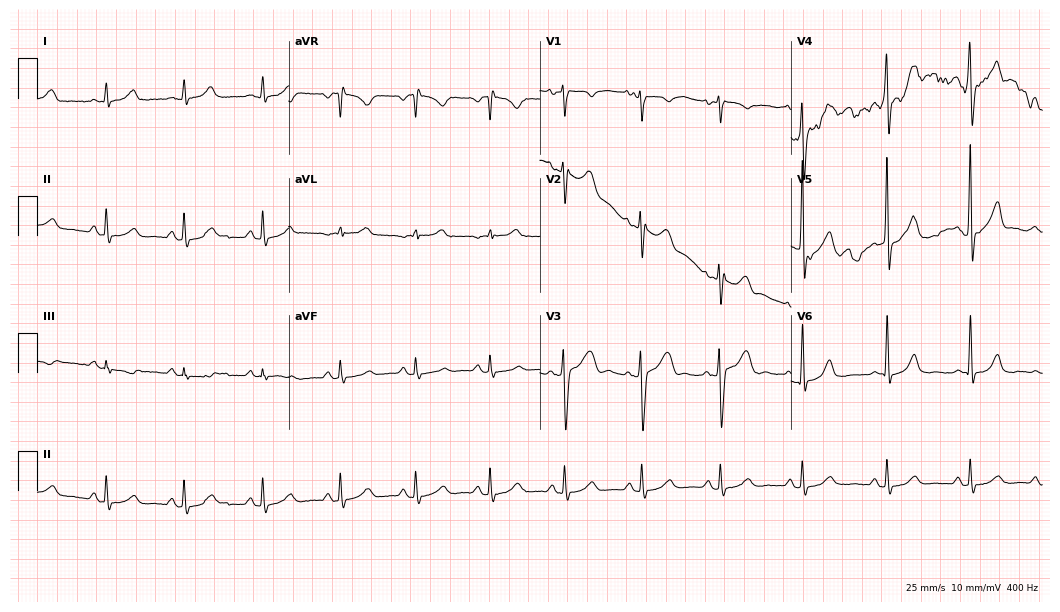
ECG (10.2-second recording at 400 Hz) — a 40-year-old man. Labelled as a normal ECG.